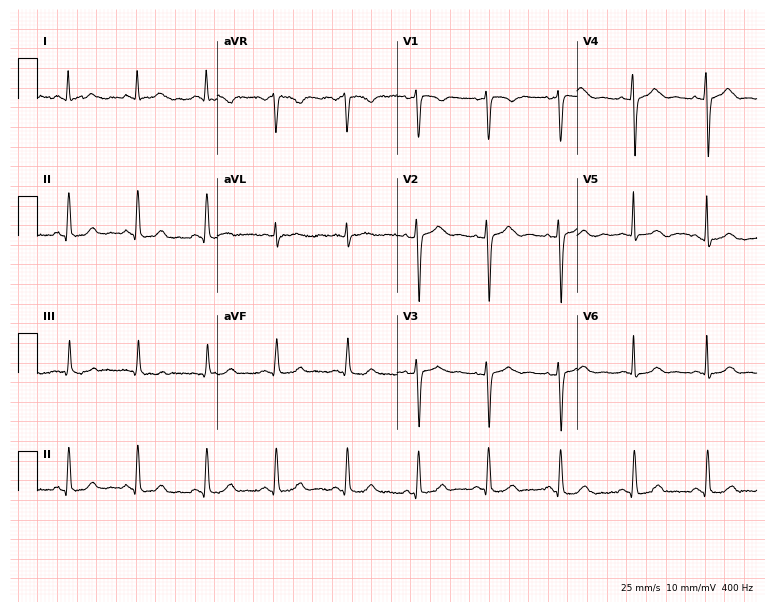
Resting 12-lead electrocardiogram (7.3-second recording at 400 Hz). Patient: a female, 30 years old. Read as a normal ECG.